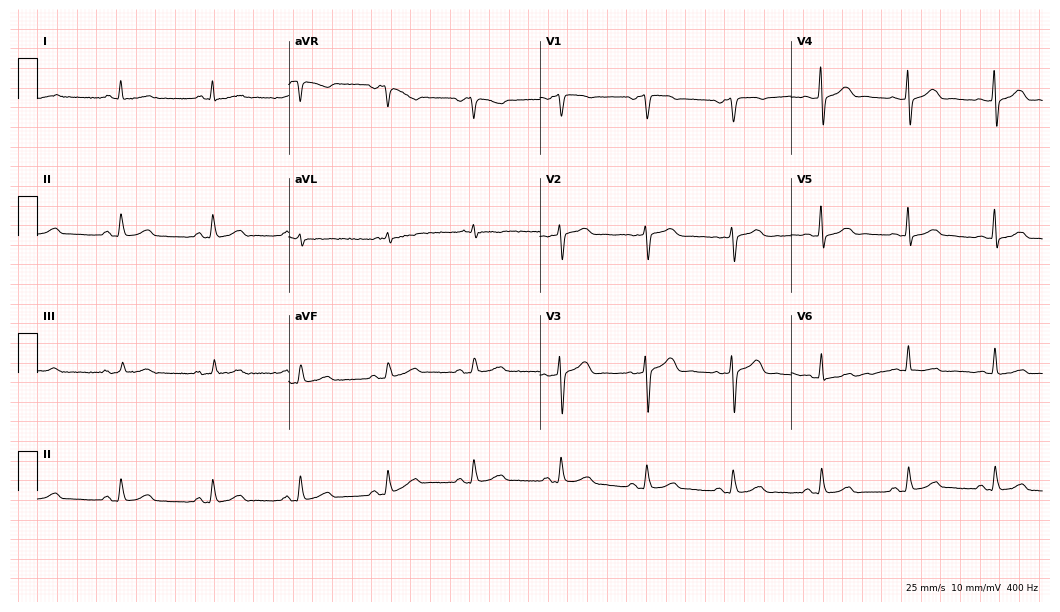
Standard 12-lead ECG recorded from a woman, 78 years old (10.2-second recording at 400 Hz). Read as a normal ECG.